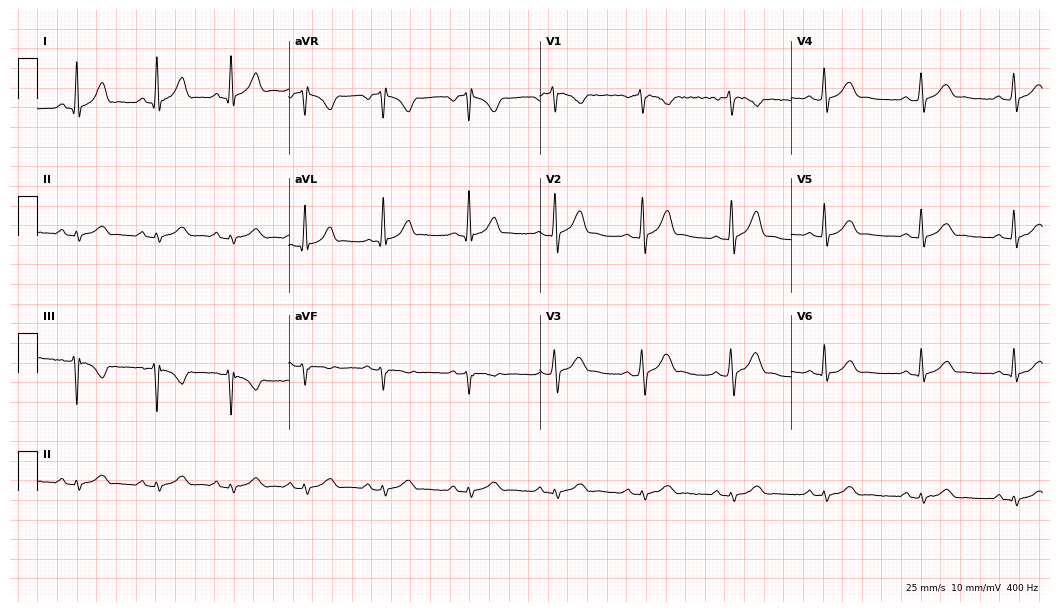
Electrocardiogram (10.2-second recording at 400 Hz), a man, 33 years old. Of the six screened findings (first-degree AV block, right bundle branch block, left bundle branch block, sinus bradycardia, atrial fibrillation, sinus tachycardia), none is recorded.